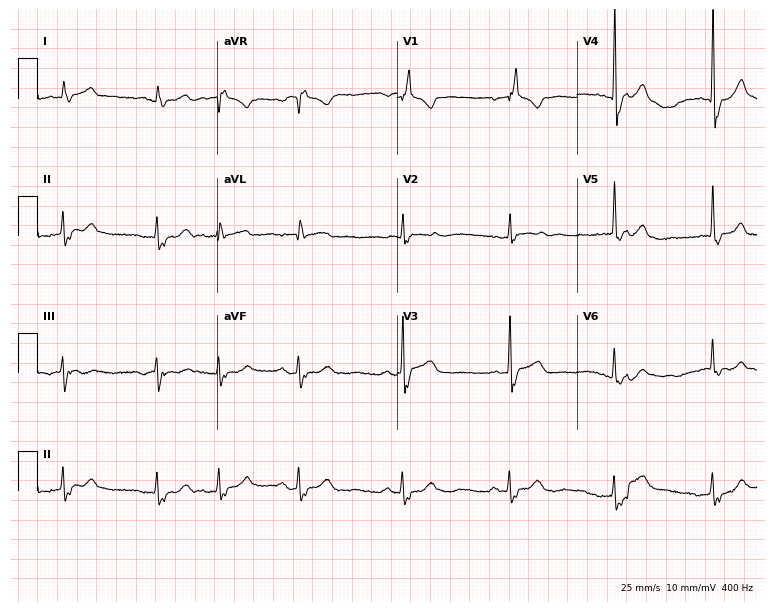
12-lead ECG from a male patient, 66 years old (7.3-second recording at 400 Hz). Shows right bundle branch block (RBBB).